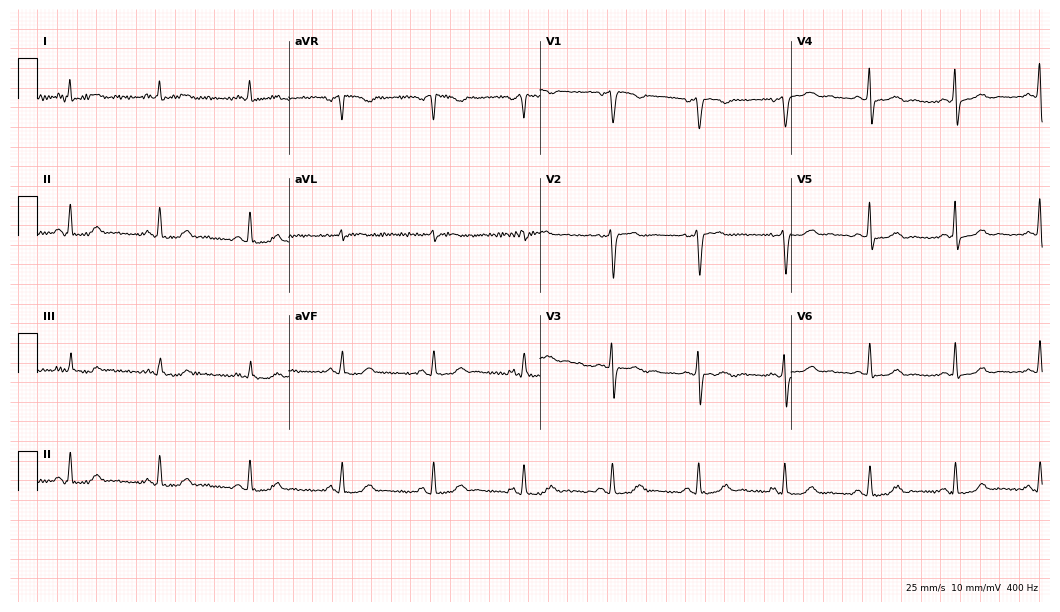
Resting 12-lead electrocardiogram (10.2-second recording at 400 Hz). Patient: a female, 51 years old. Read as a normal ECG.